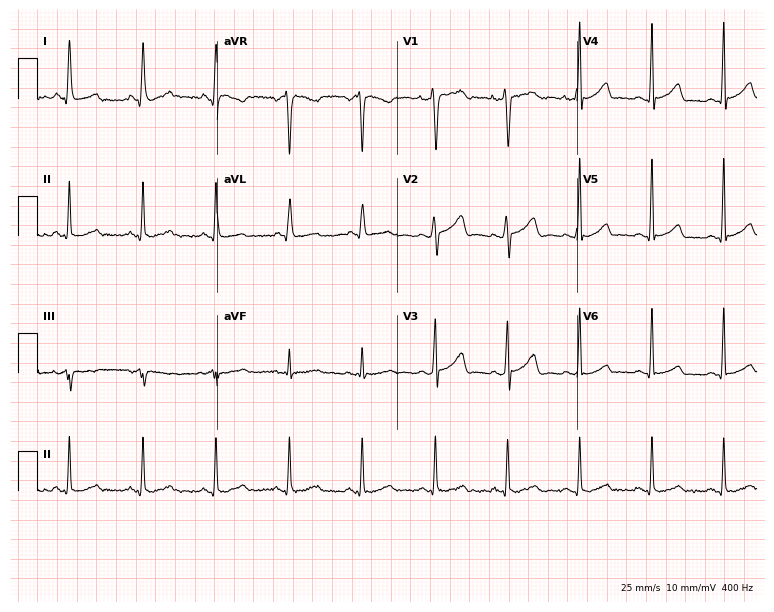
ECG (7.3-second recording at 400 Hz) — a woman, 33 years old. Screened for six findings — first-degree AV block, right bundle branch block, left bundle branch block, sinus bradycardia, atrial fibrillation, sinus tachycardia — none is recorded.